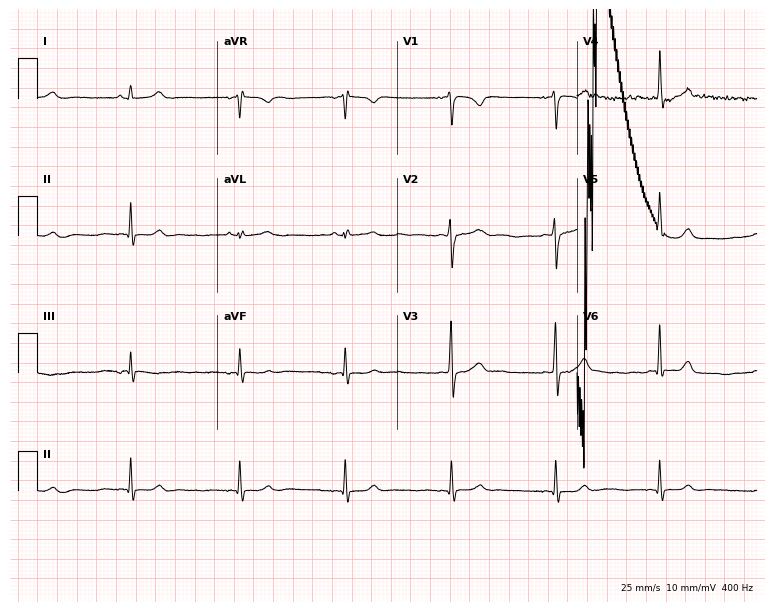
Standard 12-lead ECG recorded from a woman, 31 years old (7.3-second recording at 400 Hz). None of these six findings is recorded: first-degree AV block, right bundle branch block, left bundle branch block, sinus bradycardia, atrial fibrillation, sinus tachycardia. Findings outside these six are not listed.